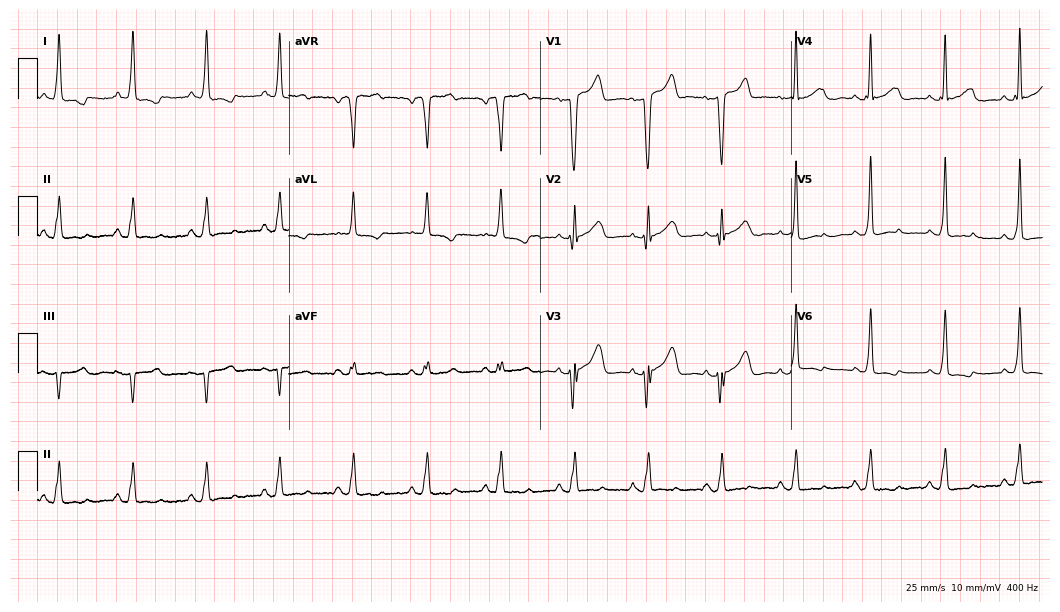
Electrocardiogram (10.2-second recording at 400 Hz), a female patient, 73 years old. Of the six screened findings (first-degree AV block, right bundle branch block (RBBB), left bundle branch block (LBBB), sinus bradycardia, atrial fibrillation (AF), sinus tachycardia), none is recorded. Only these six findings were labelled.